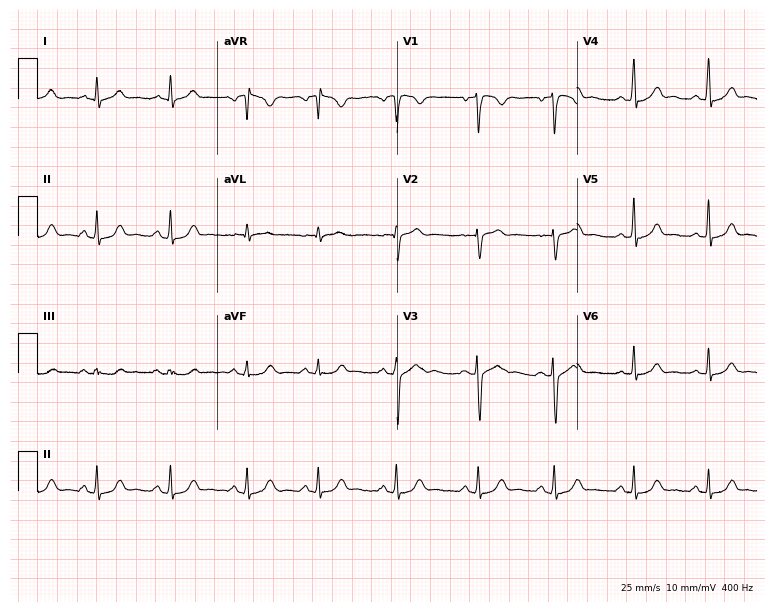
Electrocardiogram (7.3-second recording at 400 Hz), a man, 19 years old. Overall reading on record: normal ECG.